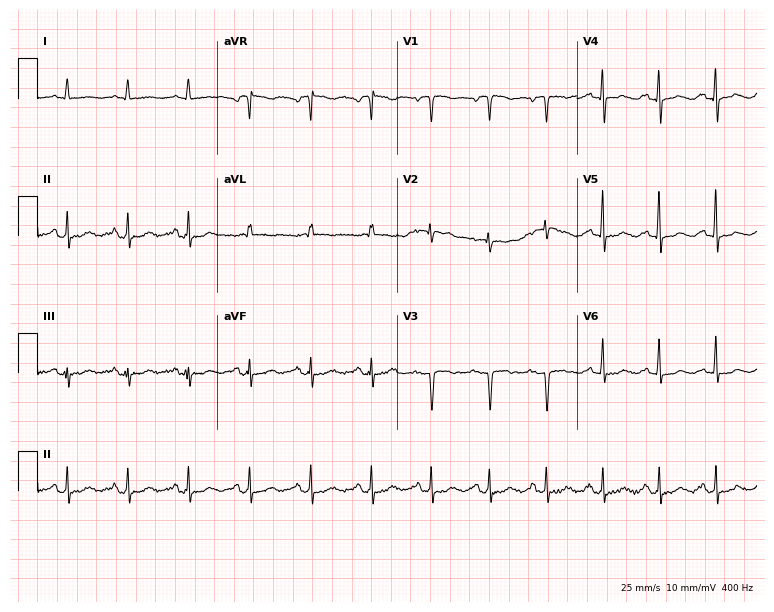
ECG — a female, 80 years old. Screened for six findings — first-degree AV block, right bundle branch block, left bundle branch block, sinus bradycardia, atrial fibrillation, sinus tachycardia — none is recorded.